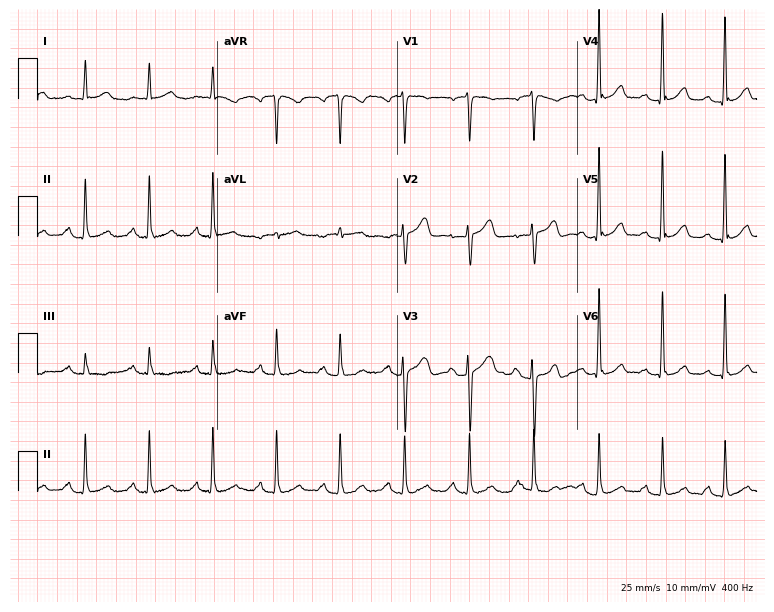
Resting 12-lead electrocardiogram (7.3-second recording at 400 Hz). Patient: an 81-year-old male. None of these six findings is recorded: first-degree AV block, right bundle branch block (RBBB), left bundle branch block (LBBB), sinus bradycardia, atrial fibrillation (AF), sinus tachycardia.